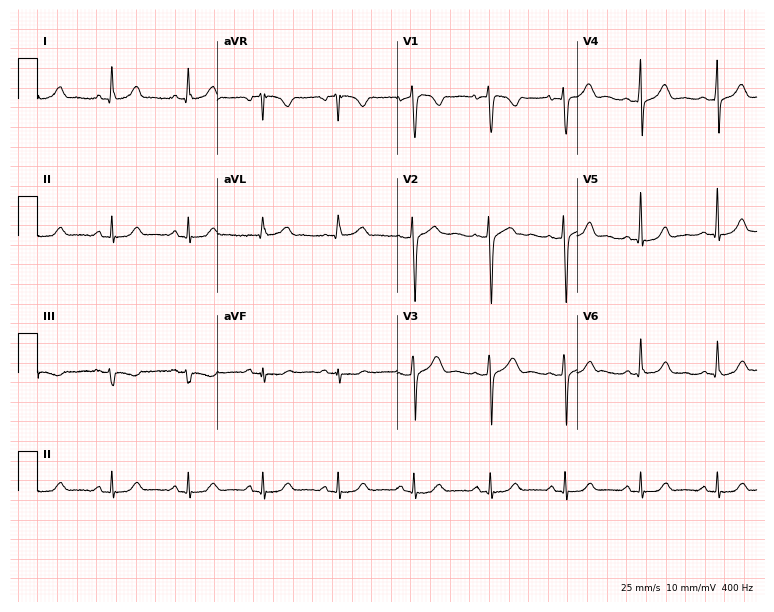
12-lead ECG from a 53-year-old female. No first-degree AV block, right bundle branch block (RBBB), left bundle branch block (LBBB), sinus bradycardia, atrial fibrillation (AF) or sinus tachycardia recorded for this tracing.